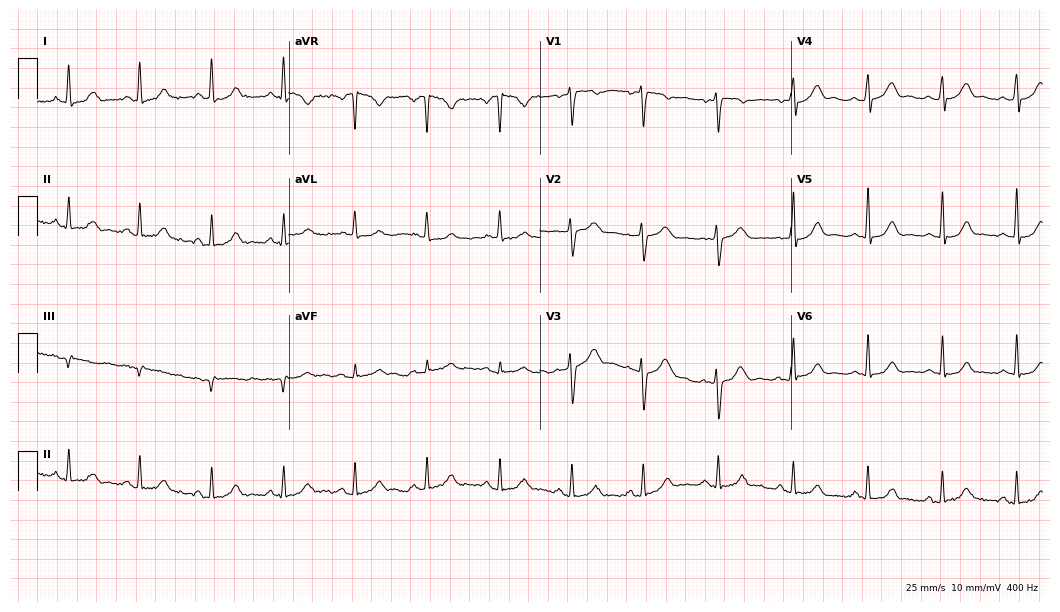
Electrocardiogram, a female patient, 22 years old. Overall reading on record: normal ECG.